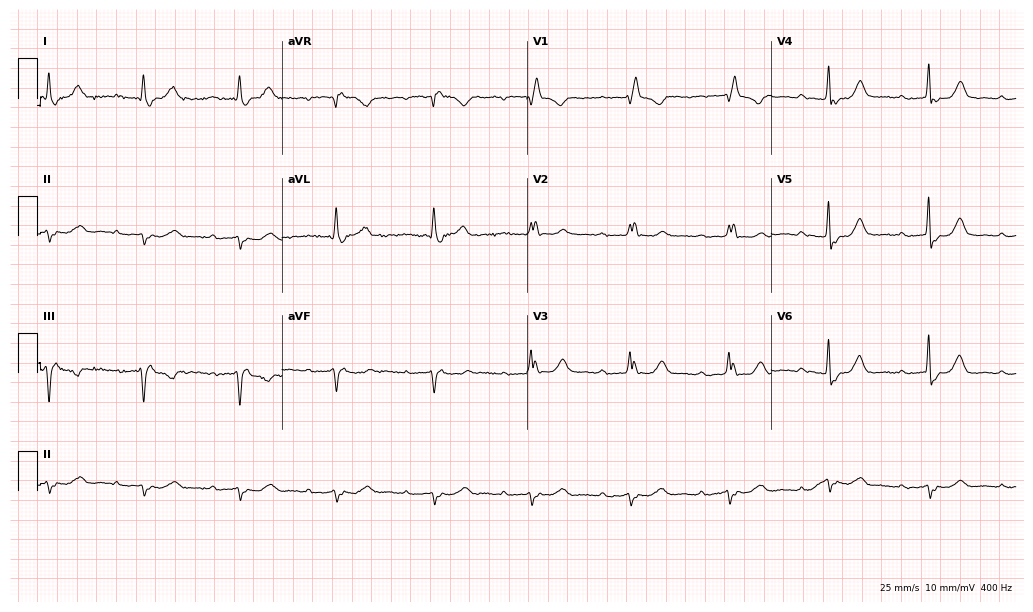
12-lead ECG (10-second recording at 400 Hz) from a man, 84 years old. Findings include first-degree AV block, right bundle branch block.